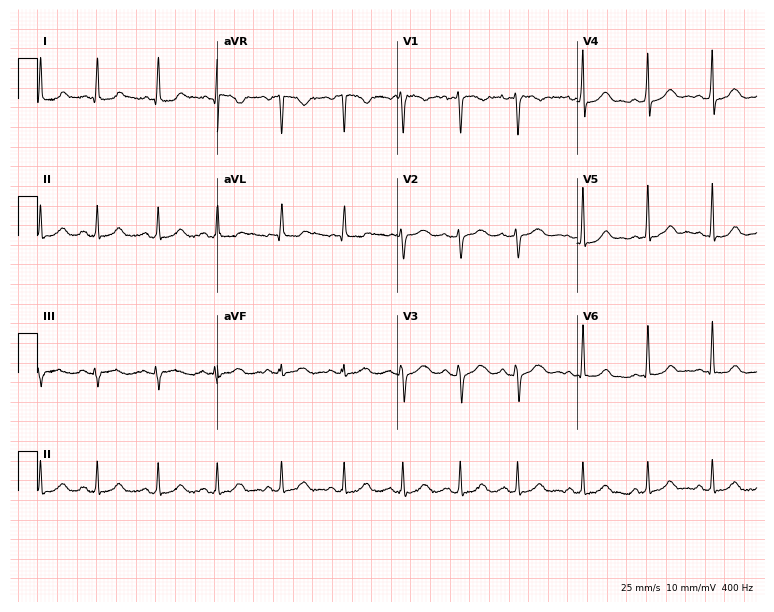
Electrocardiogram, a female patient, 27 years old. Of the six screened findings (first-degree AV block, right bundle branch block, left bundle branch block, sinus bradycardia, atrial fibrillation, sinus tachycardia), none is recorded. Only these six findings were labelled.